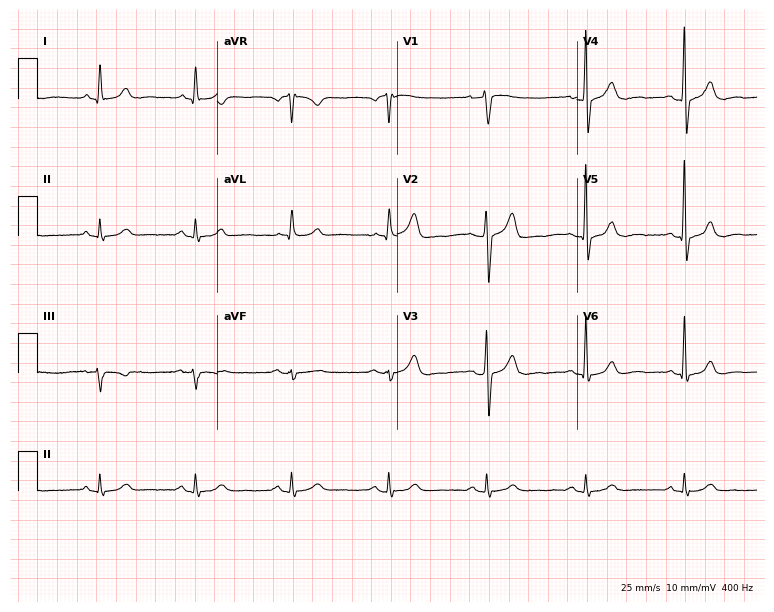
Electrocardiogram, a male patient, 61 years old. Overall reading on record: normal ECG.